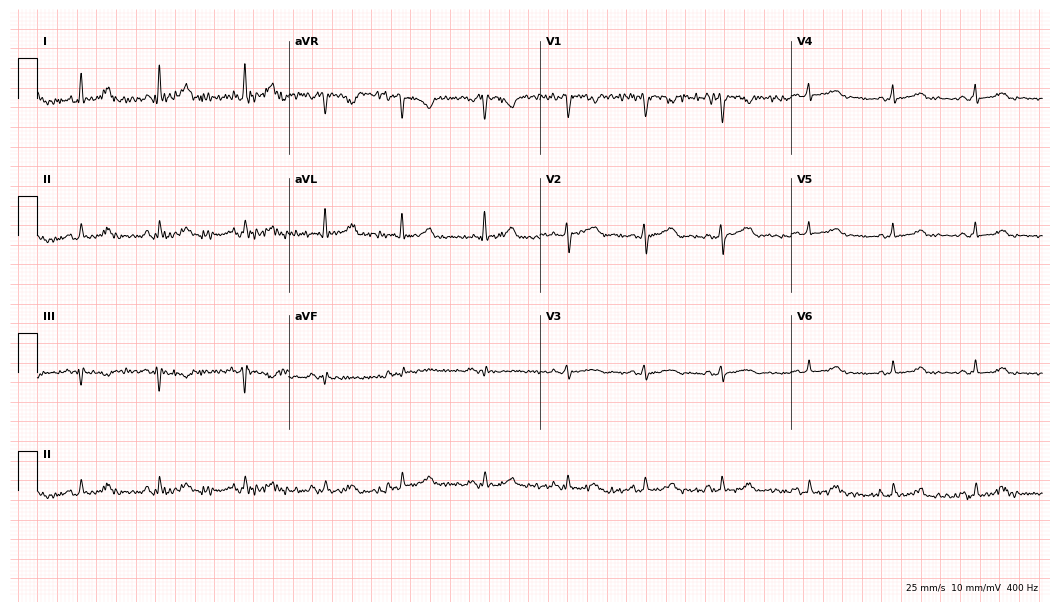
12-lead ECG (10.2-second recording at 400 Hz) from a woman, 39 years old. Labelled as a normal ECG.